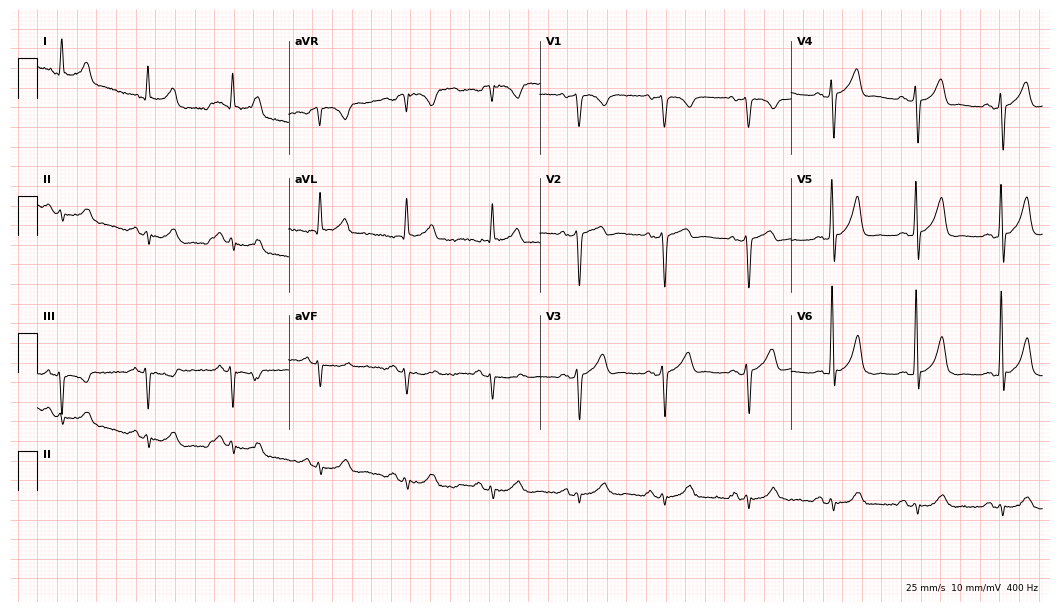
12-lead ECG from a male patient, 78 years old. Screened for six findings — first-degree AV block, right bundle branch block, left bundle branch block, sinus bradycardia, atrial fibrillation, sinus tachycardia — none is recorded. Other findings, if any, are not listed.